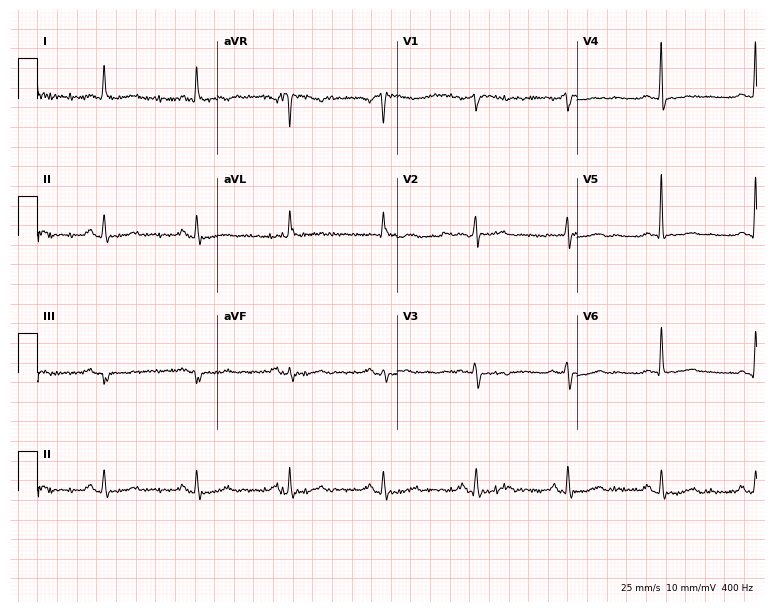
Resting 12-lead electrocardiogram. Patient: a female, 75 years old. None of these six findings is recorded: first-degree AV block, right bundle branch block, left bundle branch block, sinus bradycardia, atrial fibrillation, sinus tachycardia. Findings outside these six are not listed.